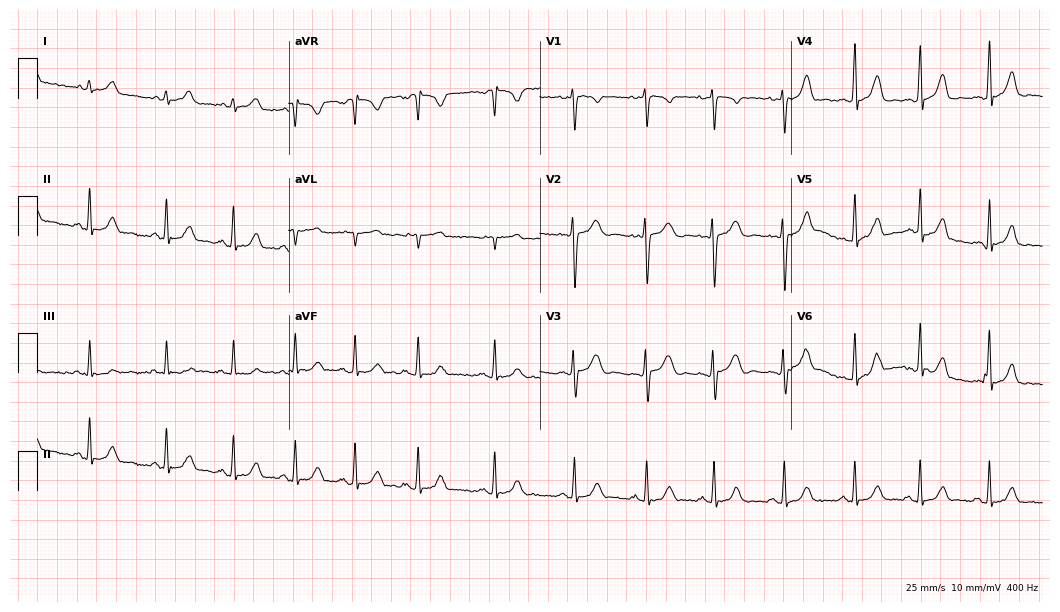
Electrocardiogram (10.2-second recording at 400 Hz), a female, 18 years old. Overall reading on record: normal ECG.